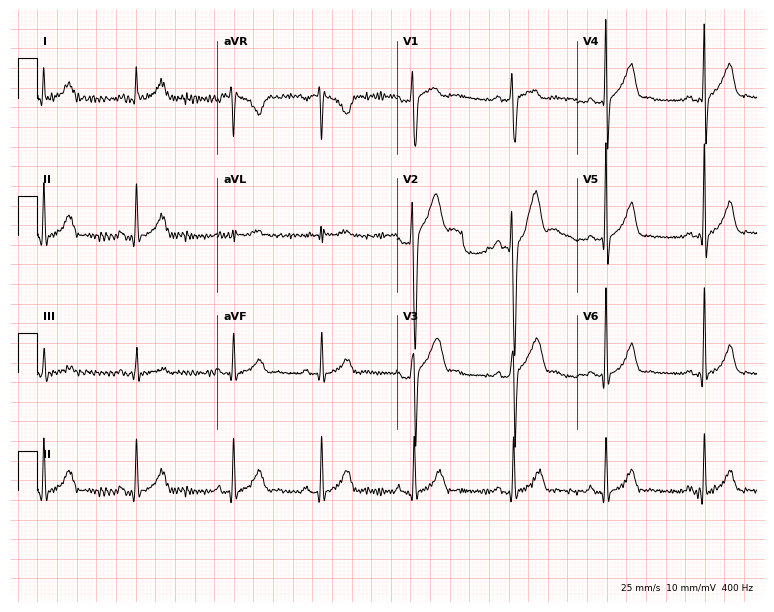
ECG (7.3-second recording at 400 Hz) — a 32-year-old male patient. Labelled as a normal ECG.